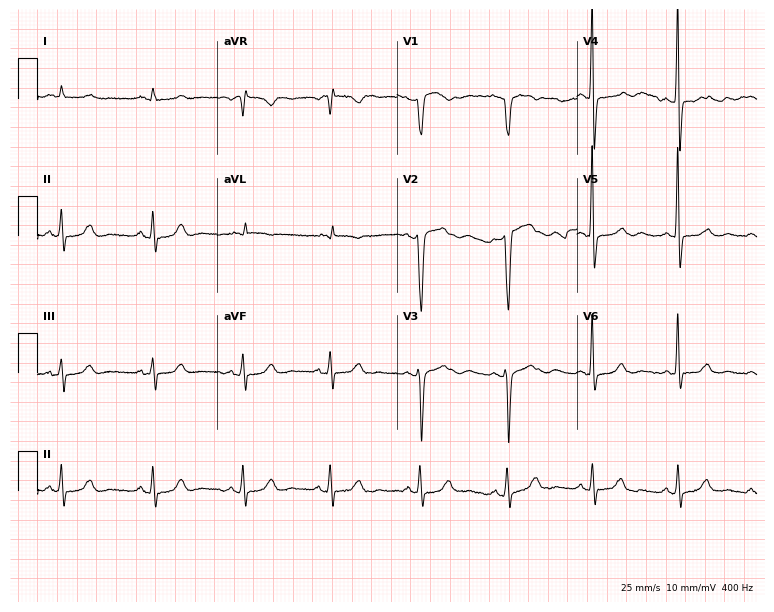
Electrocardiogram, a woman, 58 years old. Of the six screened findings (first-degree AV block, right bundle branch block (RBBB), left bundle branch block (LBBB), sinus bradycardia, atrial fibrillation (AF), sinus tachycardia), none is recorded.